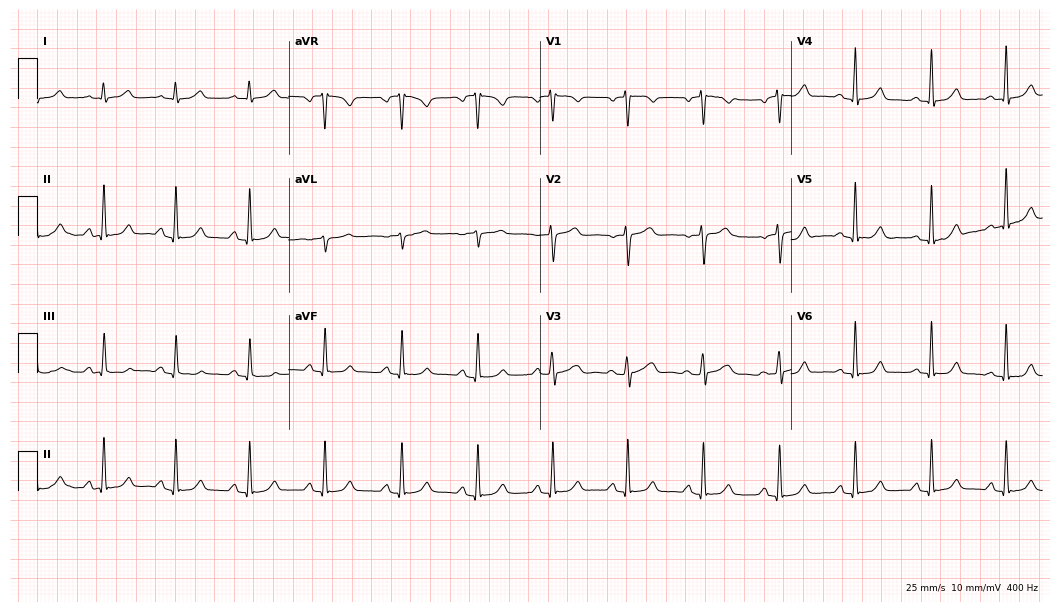
ECG — a 55-year-old female. Labelled as a normal ECG.